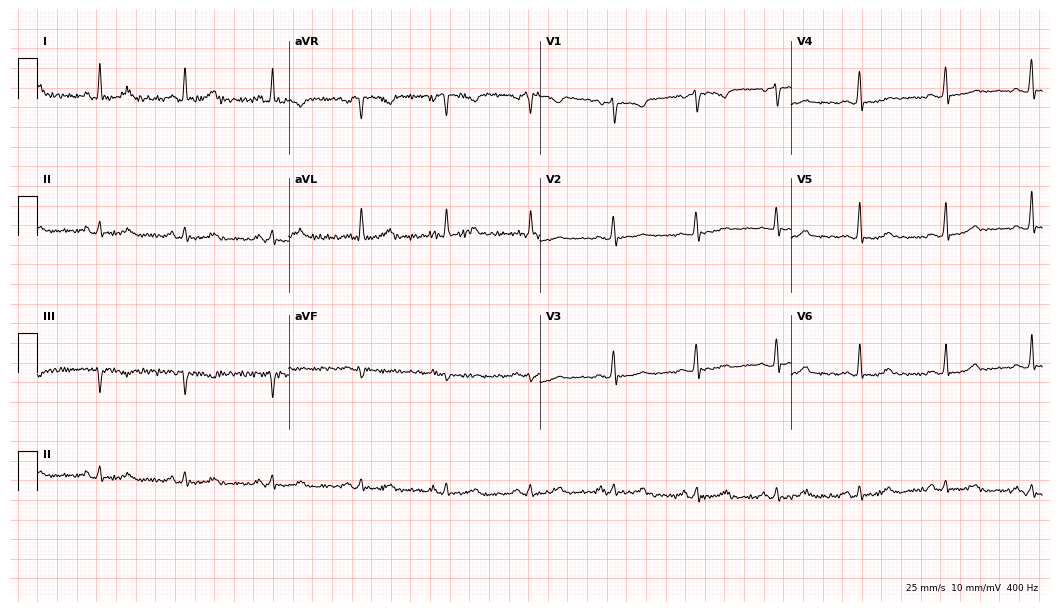
12-lead ECG from a female patient, 40 years old. Screened for six findings — first-degree AV block, right bundle branch block, left bundle branch block, sinus bradycardia, atrial fibrillation, sinus tachycardia — none is recorded.